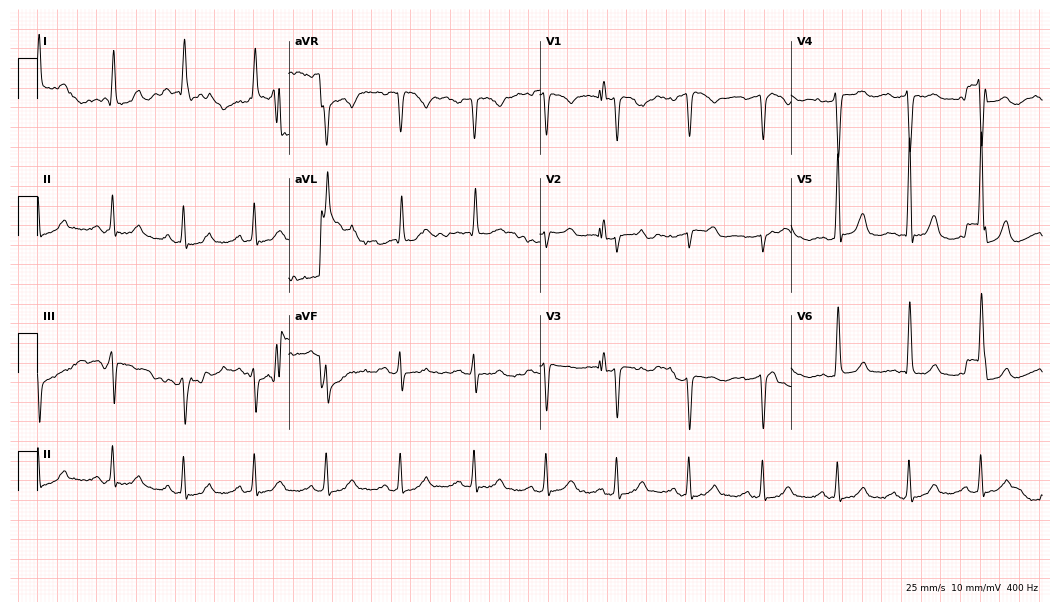
Standard 12-lead ECG recorded from a female, 66 years old (10.2-second recording at 400 Hz). None of these six findings is recorded: first-degree AV block, right bundle branch block, left bundle branch block, sinus bradycardia, atrial fibrillation, sinus tachycardia. Other findings, if any, are not listed.